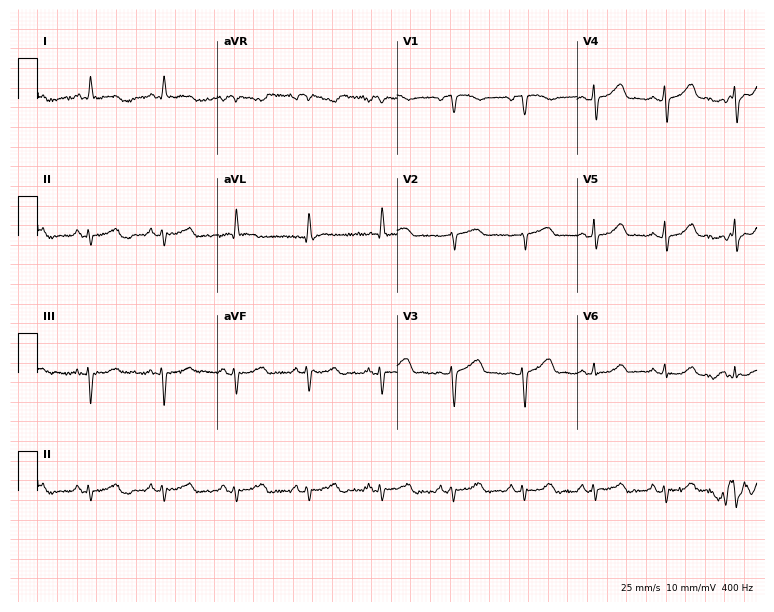
Resting 12-lead electrocardiogram. Patient: a 68-year-old woman. None of these six findings is recorded: first-degree AV block, right bundle branch block (RBBB), left bundle branch block (LBBB), sinus bradycardia, atrial fibrillation (AF), sinus tachycardia. Findings outside these six are not listed.